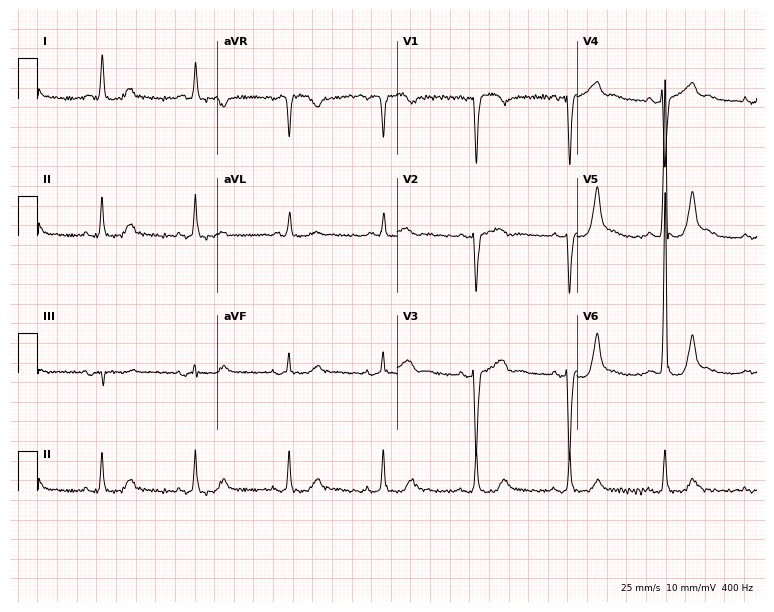
12-lead ECG from a 75-year-old male (7.3-second recording at 400 Hz). No first-degree AV block, right bundle branch block (RBBB), left bundle branch block (LBBB), sinus bradycardia, atrial fibrillation (AF) or sinus tachycardia recorded for this tracing.